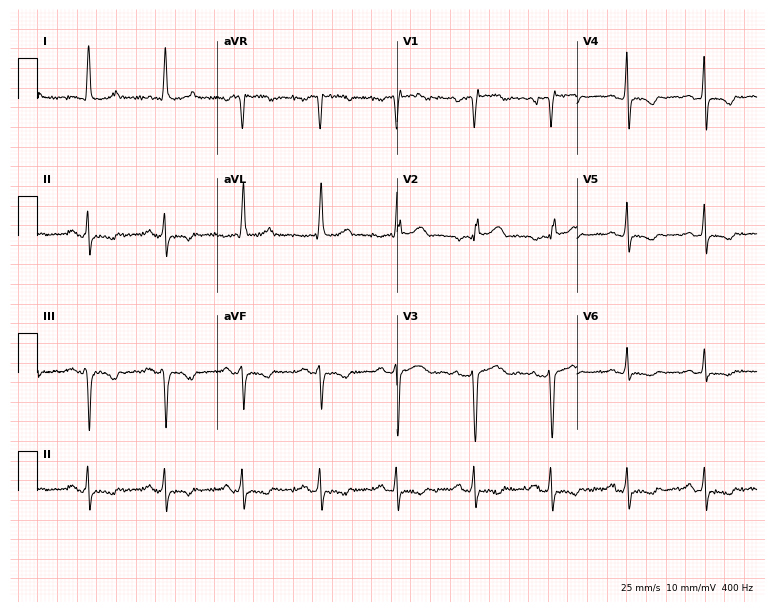
Resting 12-lead electrocardiogram. Patient: a 59-year-old female. None of these six findings is recorded: first-degree AV block, right bundle branch block, left bundle branch block, sinus bradycardia, atrial fibrillation, sinus tachycardia.